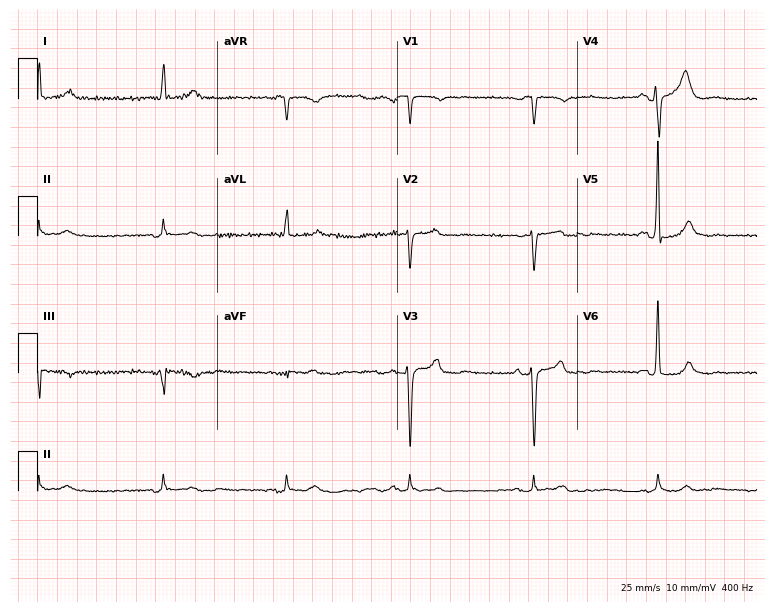
Electrocardiogram, a male, 83 years old. Interpretation includes sinus bradycardia (a sinus rate of 50 beats per minute or less).